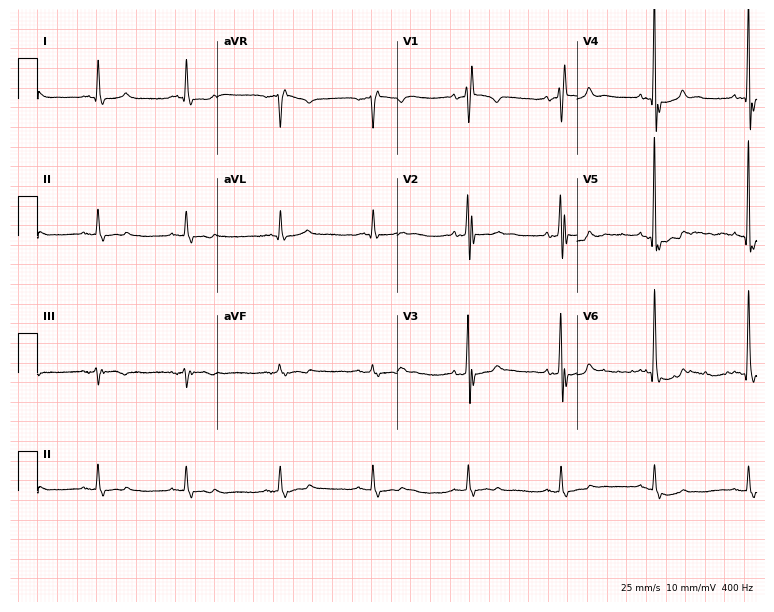
ECG (7.3-second recording at 400 Hz) — a woman, 77 years old. Screened for six findings — first-degree AV block, right bundle branch block (RBBB), left bundle branch block (LBBB), sinus bradycardia, atrial fibrillation (AF), sinus tachycardia — none is recorded. Findings outside these six are not listed.